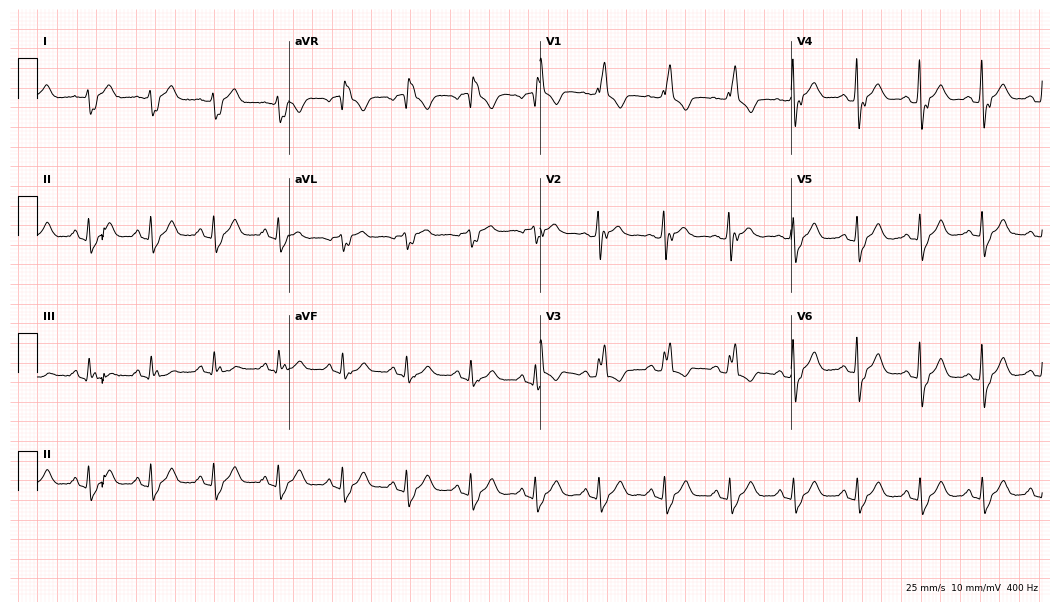
ECG — a male, 69 years old. Findings include right bundle branch block (RBBB).